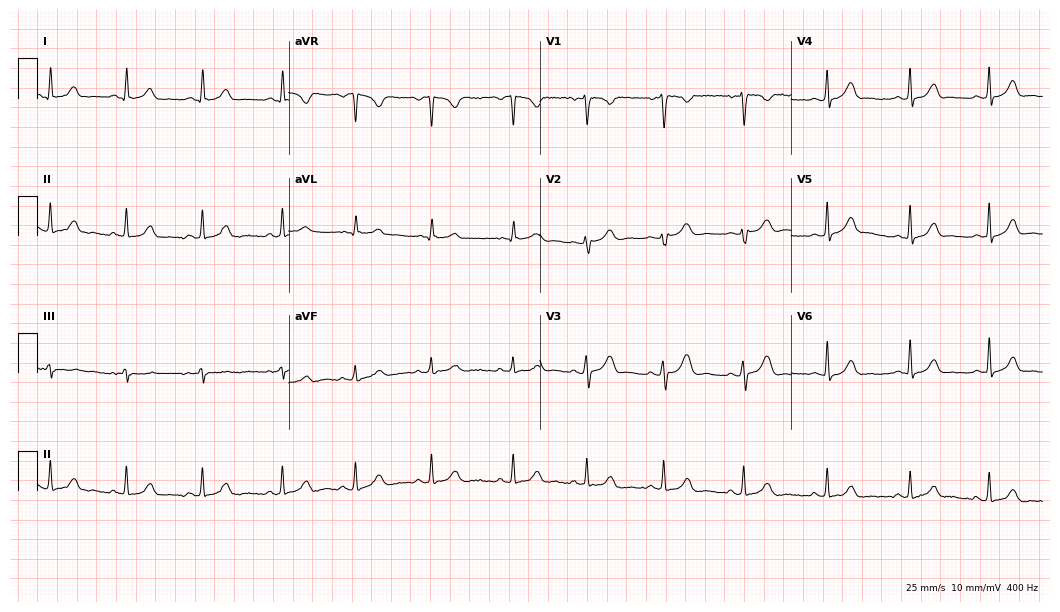
12-lead ECG from a woman, 25 years old (10.2-second recording at 400 Hz). Recorded interpretation: within normal limits.